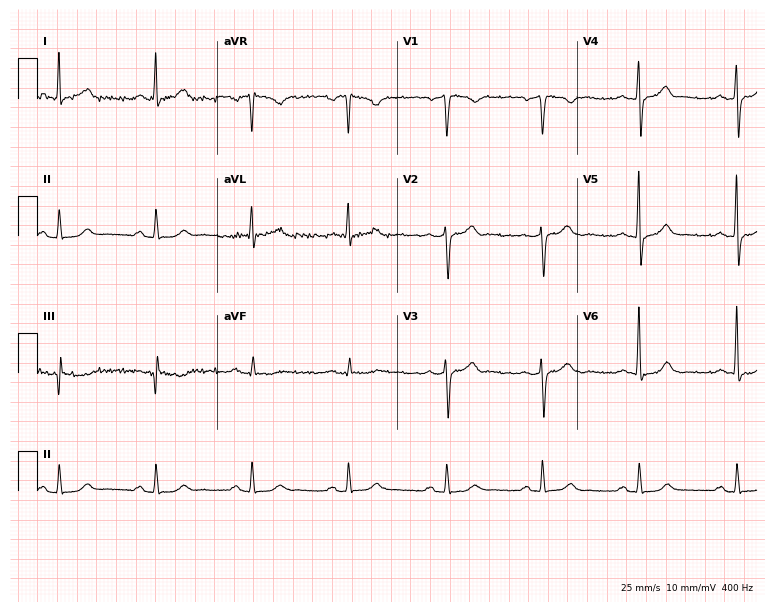
Electrocardiogram (7.3-second recording at 400 Hz), a man, 68 years old. Overall reading on record: normal ECG.